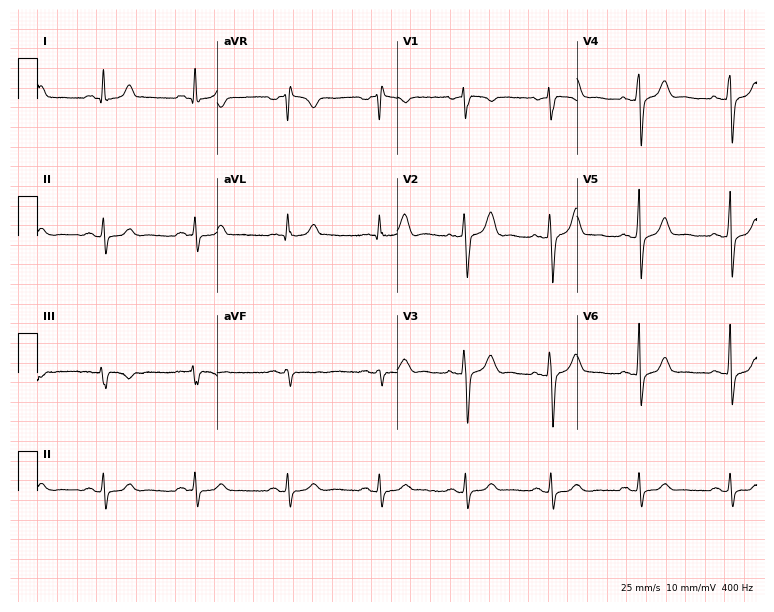
ECG (7.3-second recording at 400 Hz) — a 52-year-old male patient. Labelled as a normal ECG.